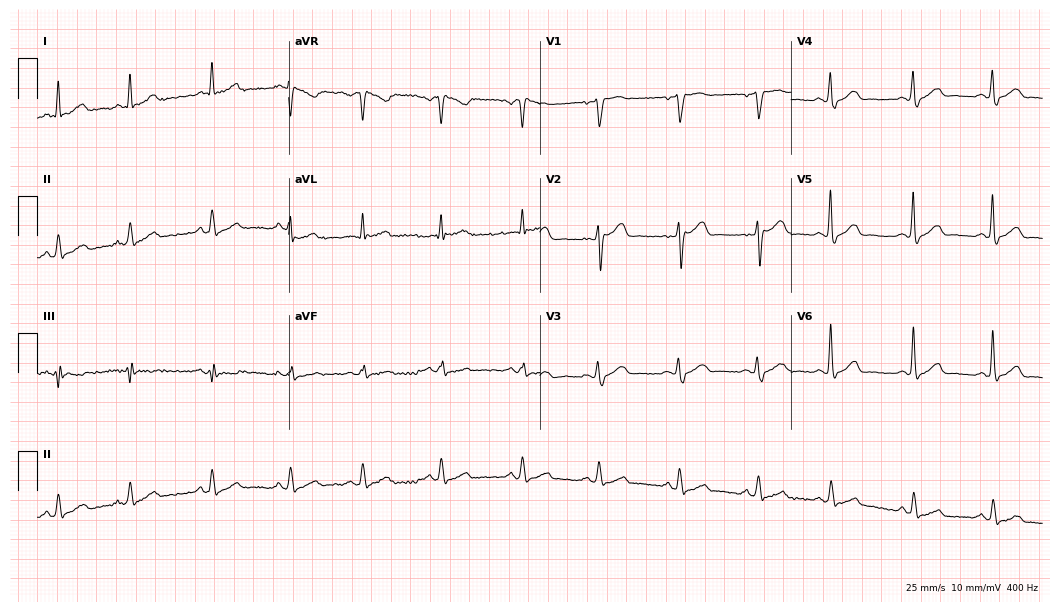
Electrocardiogram, a man, 61 years old. Of the six screened findings (first-degree AV block, right bundle branch block, left bundle branch block, sinus bradycardia, atrial fibrillation, sinus tachycardia), none is recorded.